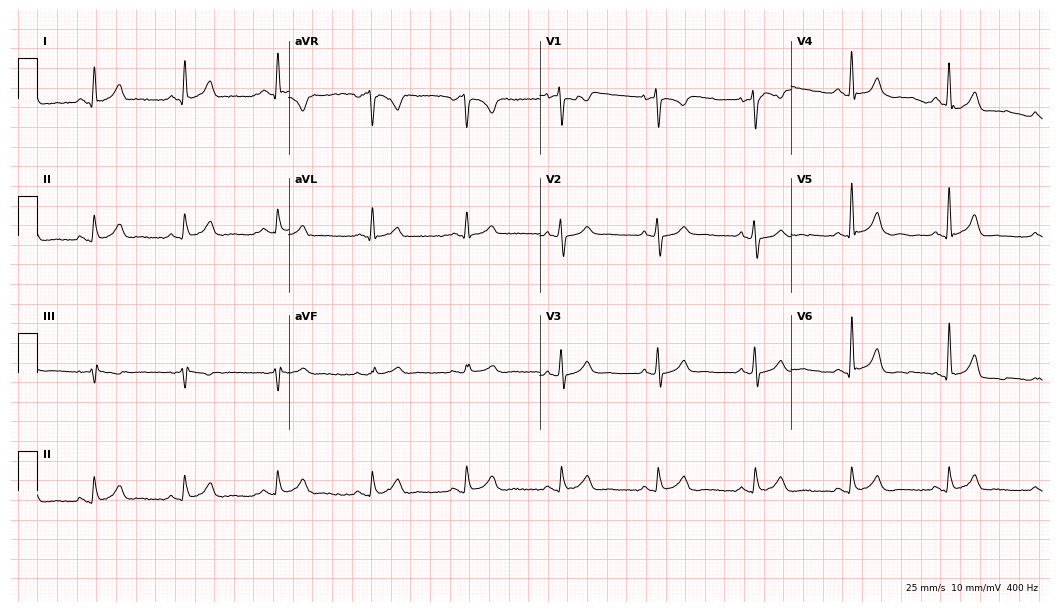
ECG (10.2-second recording at 400 Hz) — a 53-year-old man. Labelled as a normal ECG.